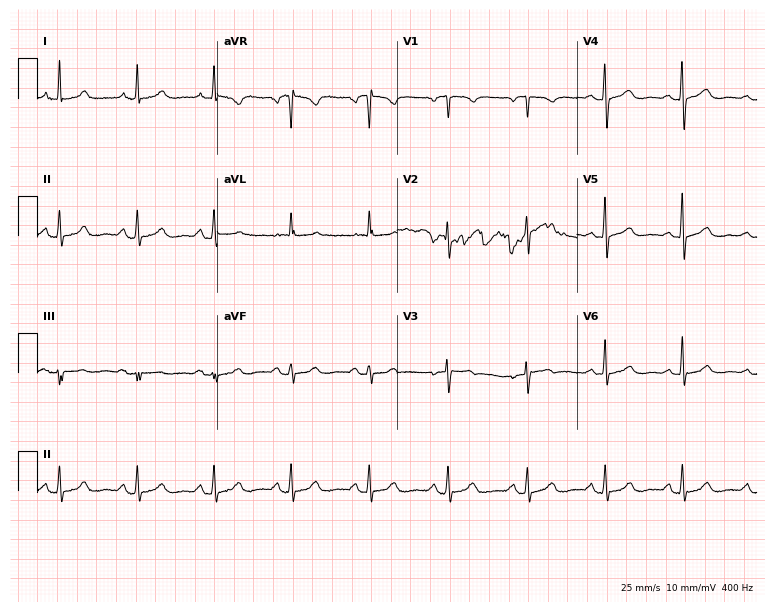
Standard 12-lead ECG recorded from a female patient, 50 years old (7.3-second recording at 400 Hz). Read as a normal ECG.